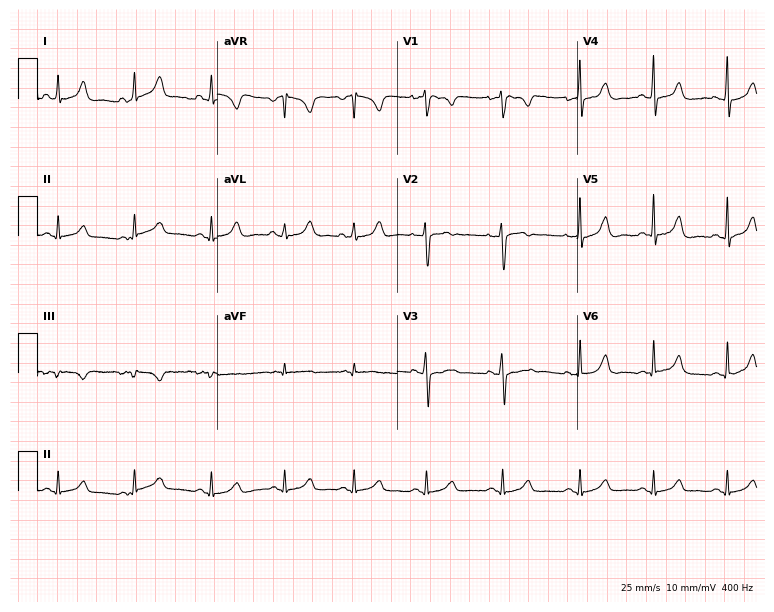
12-lead ECG (7.3-second recording at 400 Hz) from a 25-year-old female. Labelled as a normal ECG.